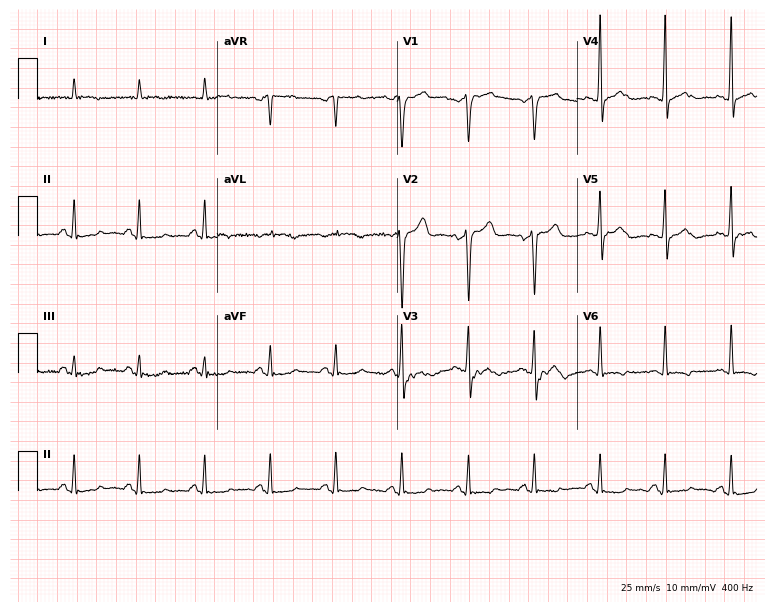
12-lead ECG from a man, 56 years old (7.3-second recording at 400 Hz). No first-degree AV block, right bundle branch block, left bundle branch block, sinus bradycardia, atrial fibrillation or sinus tachycardia recorded for this tracing. Findings outside these six are not listed.